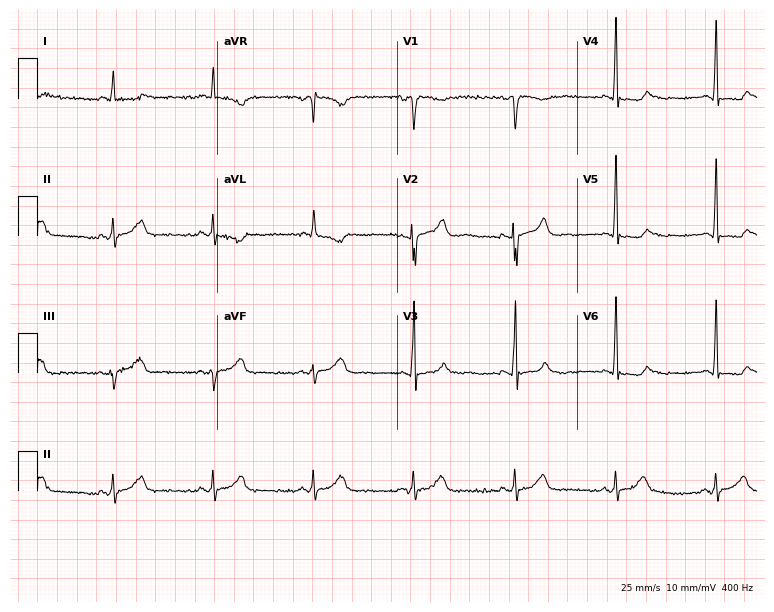
12-lead ECG from a 59-year-old male. Recorded interpretation: within normal limits.